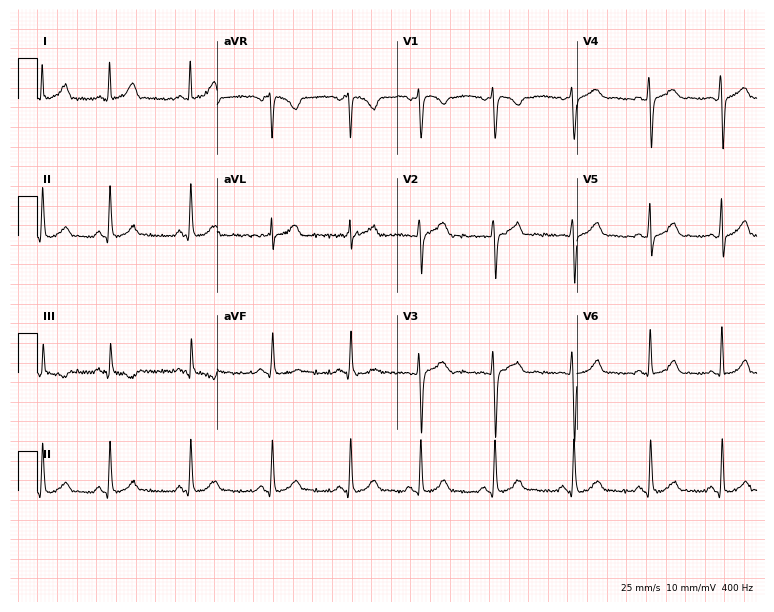
Electrocardiogram, a female patient, 20 years old. Overall reading on record: normal ECG.